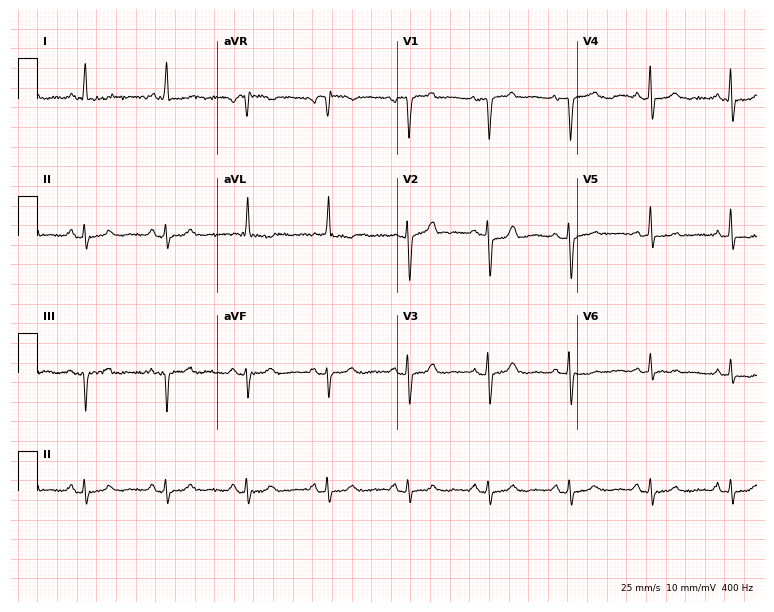
12-lead ECG (7.3-second recording at 400 Hz) from an 83-year-old male patient. Screened for six findings — first-degree AV block, right bundle branch block (RBBB), left bundle branch block (LBBB), sinus bradycardia, atrial fibrillation (AF), sinus tachycardia — none is recorded.